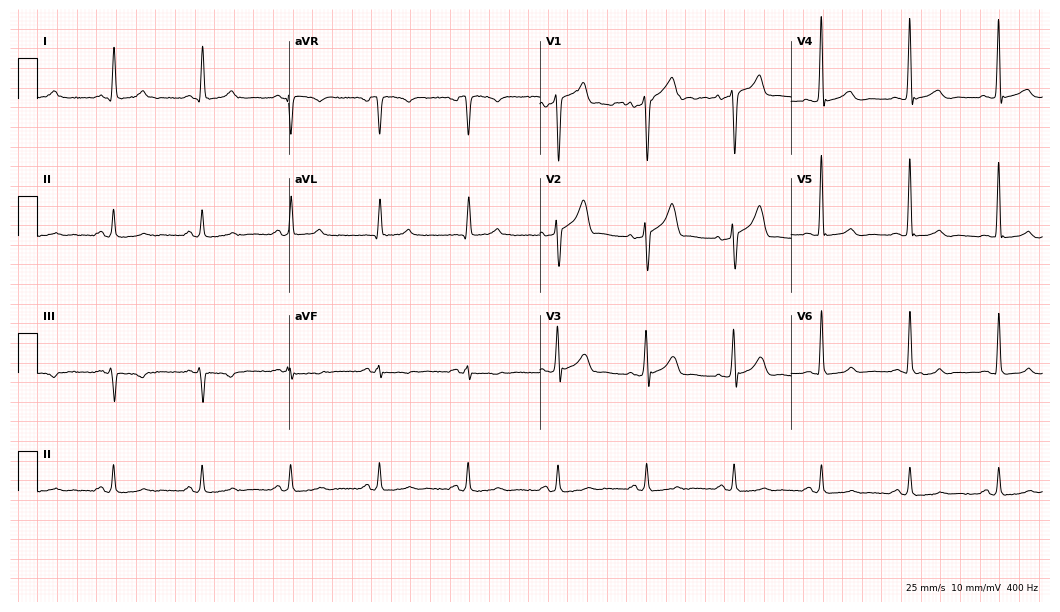
Electrocardiogram, a male patient, 60 years old. Overall reading on record: normal ECG.